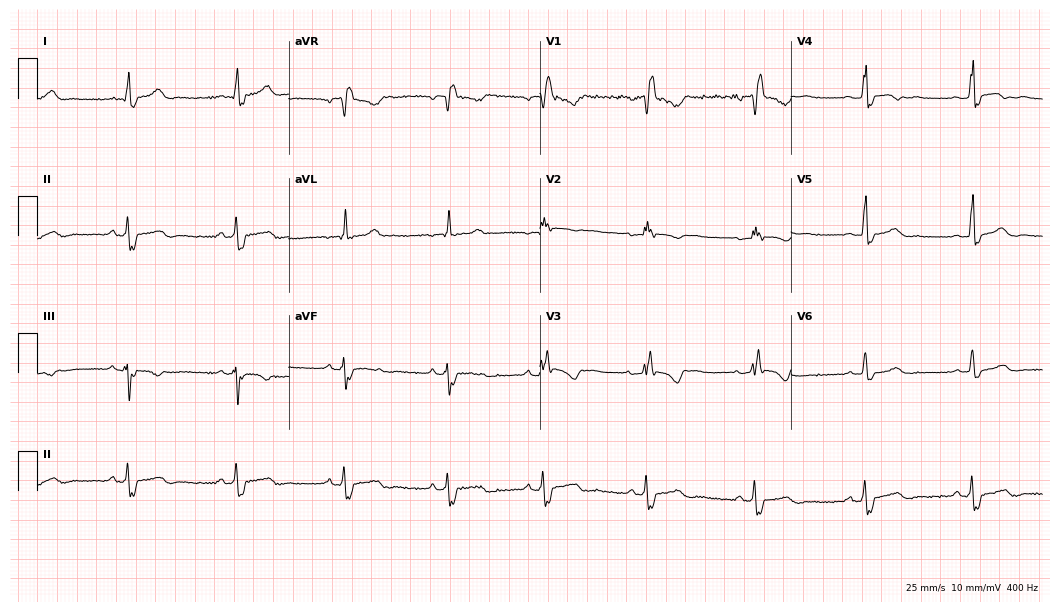
Resting 12-lead electrocardiogram. Patient: a female, 37 years old. The tracing shows right bundle branch block.